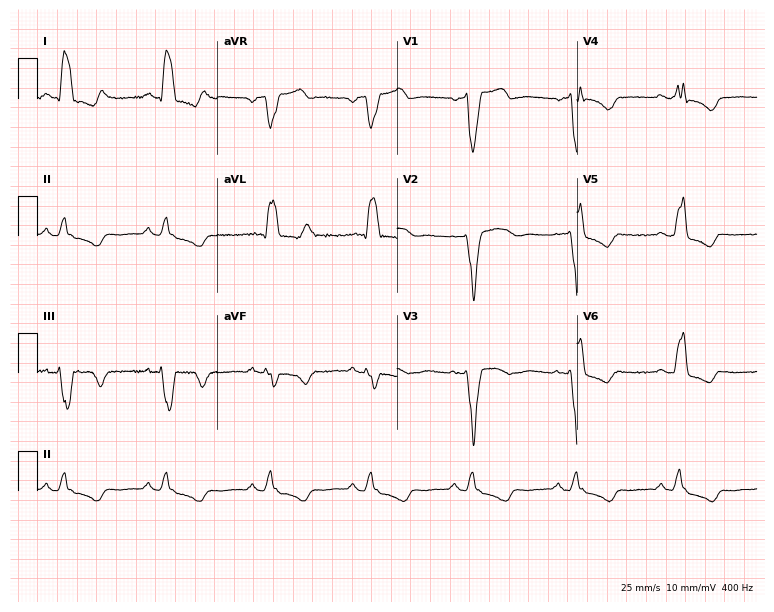
12-lead ECG from a female, 65 years old. Shows left bundle branch block.